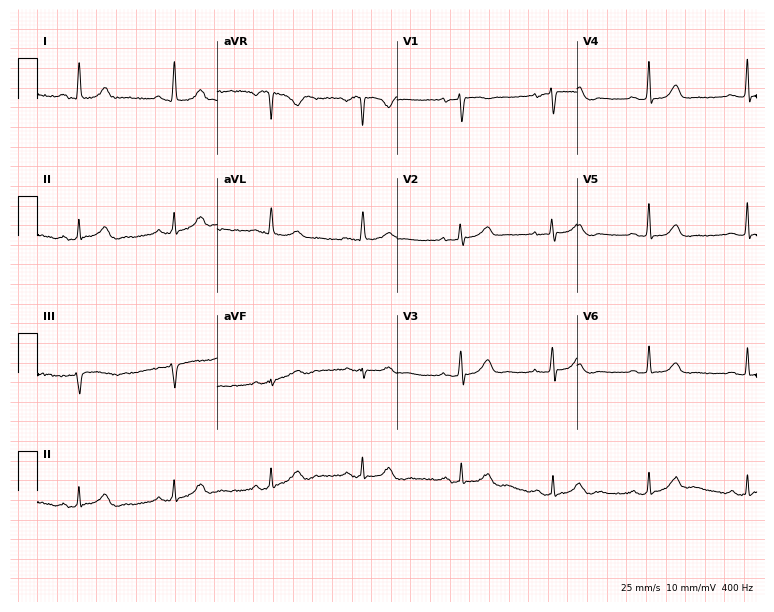
Standard 12-lead ECG recorded from a female, 40 years old (7.3-second recording at 400 Hz). None of these six findings is recorded: first-degree AV block, right bundle branch block, left bundle branch block, sinus bradycardia, atrial fibrillation, sinus tachycardia.